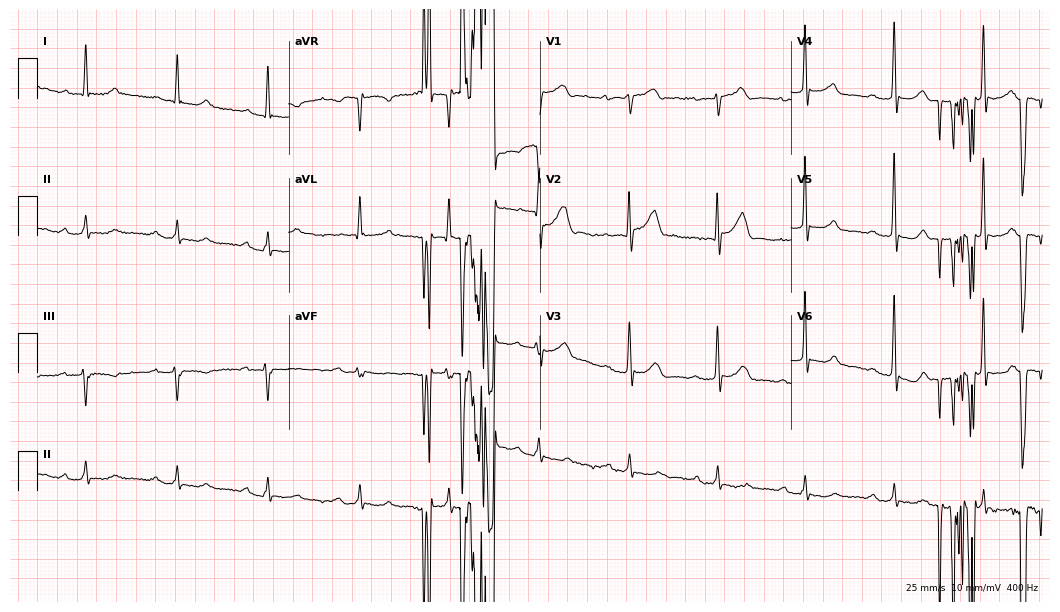
Resting 12-lead electrocardiogram. Patient: a male, 65 years old. The tracing shows first-degree AV block.